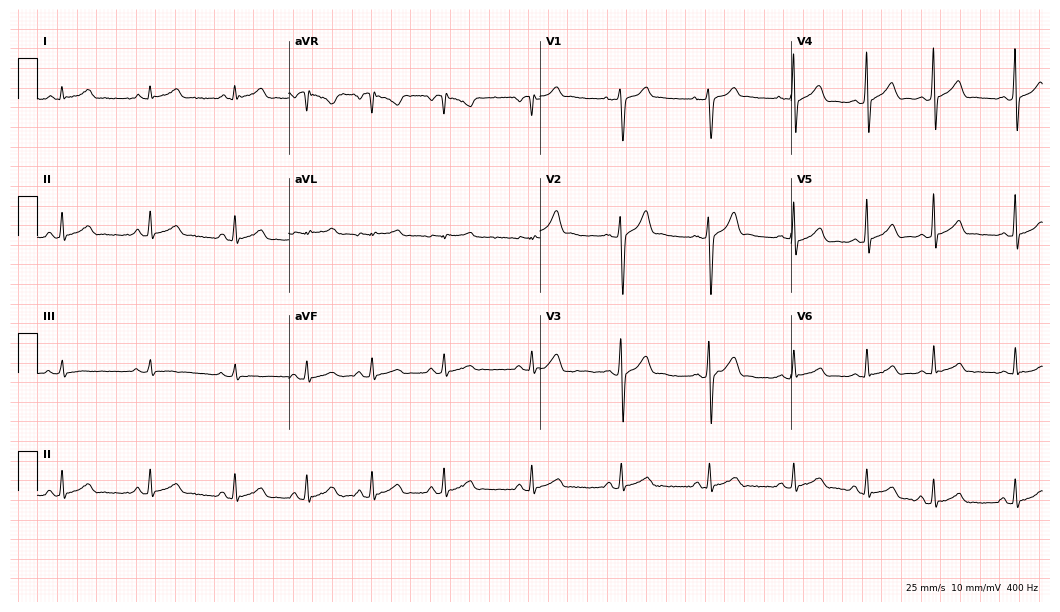
12-lead ECG from a man, 25 years old (10.2-second recording at 400 Hz). Recorded interpretation: within normal limits.